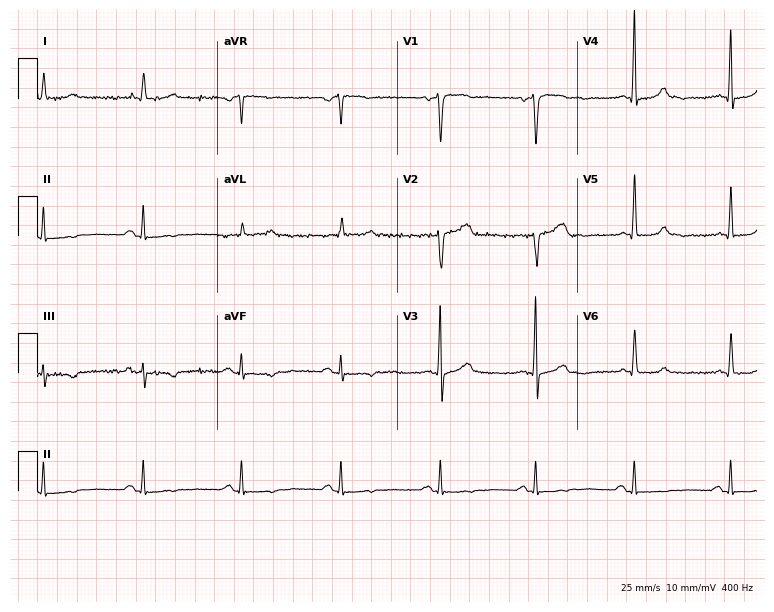
ECG (7.3-second recording at 400 Hz) — a male patient, 60 years old. Labelled as a normal ECG.